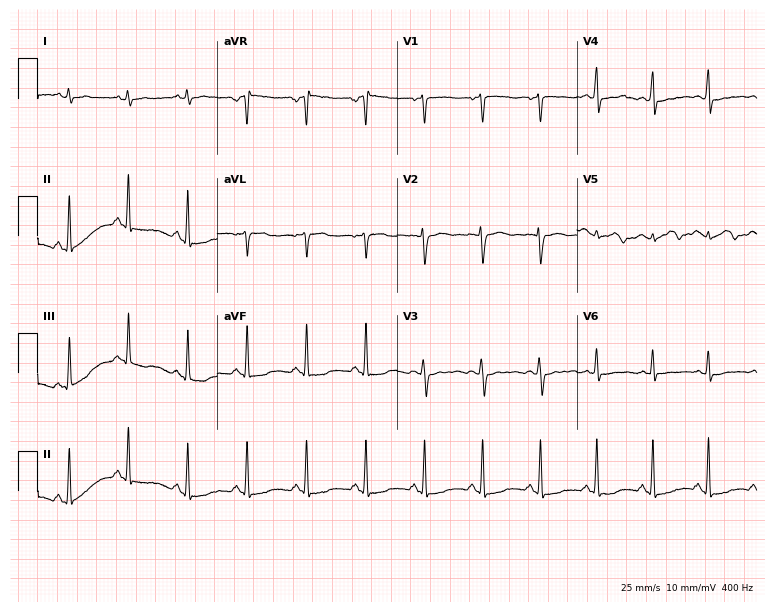
12-lead ECG from a female patient, 19 years old. Shows sinus tachycardia (a sinus rate of 100 beats per minute or more).